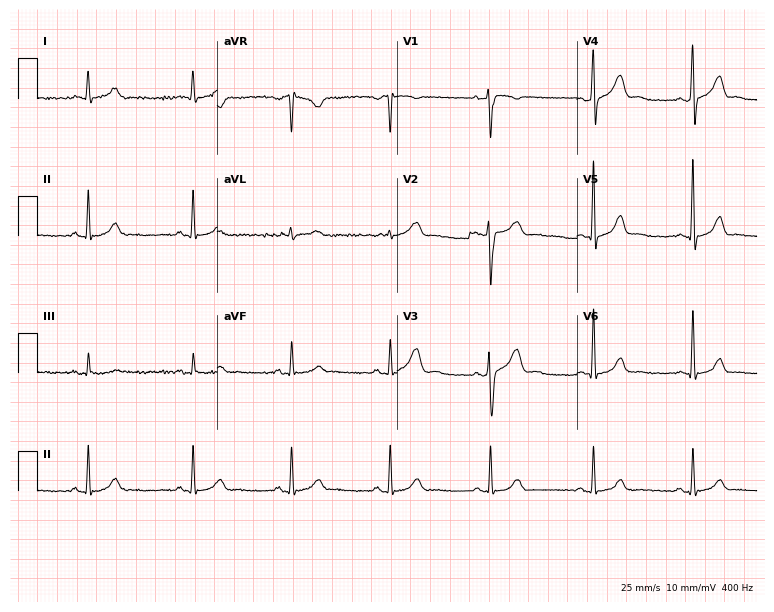
Resting 12-lead electrocardiogram (7.3-second recording at 400 Hz). Patient: a male, 38 years old. None of these six findings is recorded: first-degree AV block, right bundle branch block (RBBB), left bundle branch block (LBBB), sinus bradycardia, atrial fibrillation (AF), sinus tachycardia. Findings outside these six are not listed.